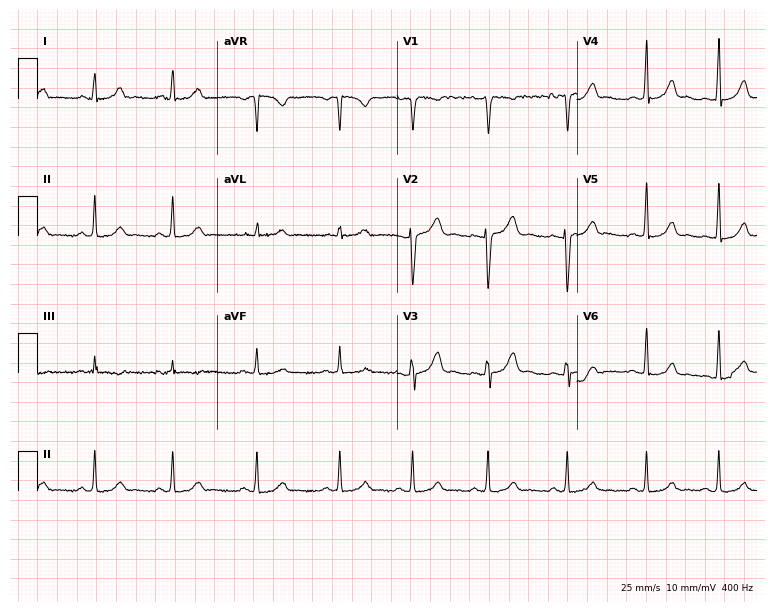
Resting 12-lead electrocardiogram. Patient: a female, 17 years old. Read as a normal ECG.